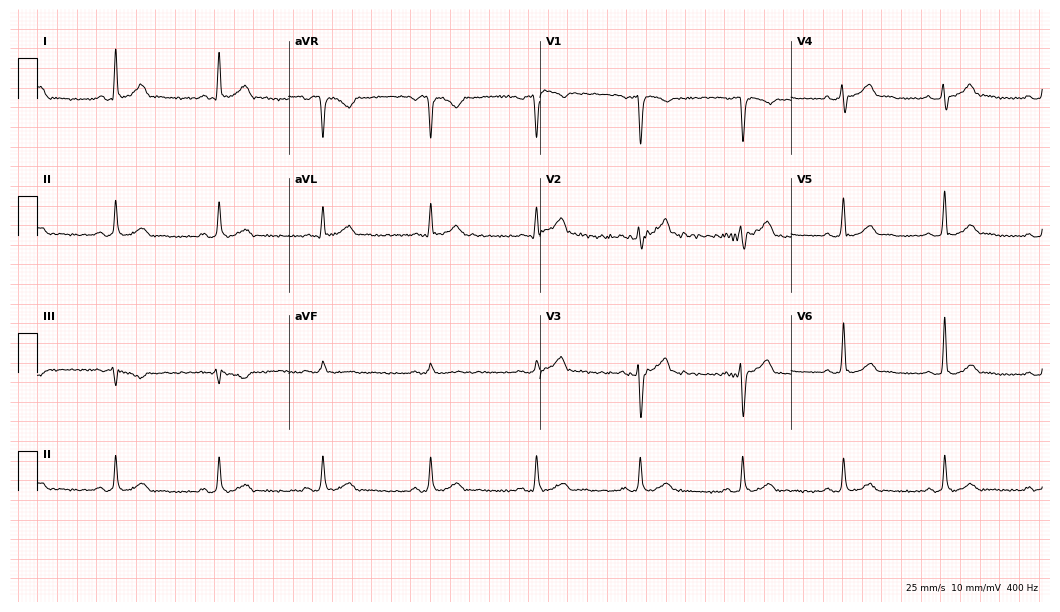
Electrocardiogram (10.2-second recording at 400 Hz), a 51-year-old man. Overall reading on record: normal ECG.